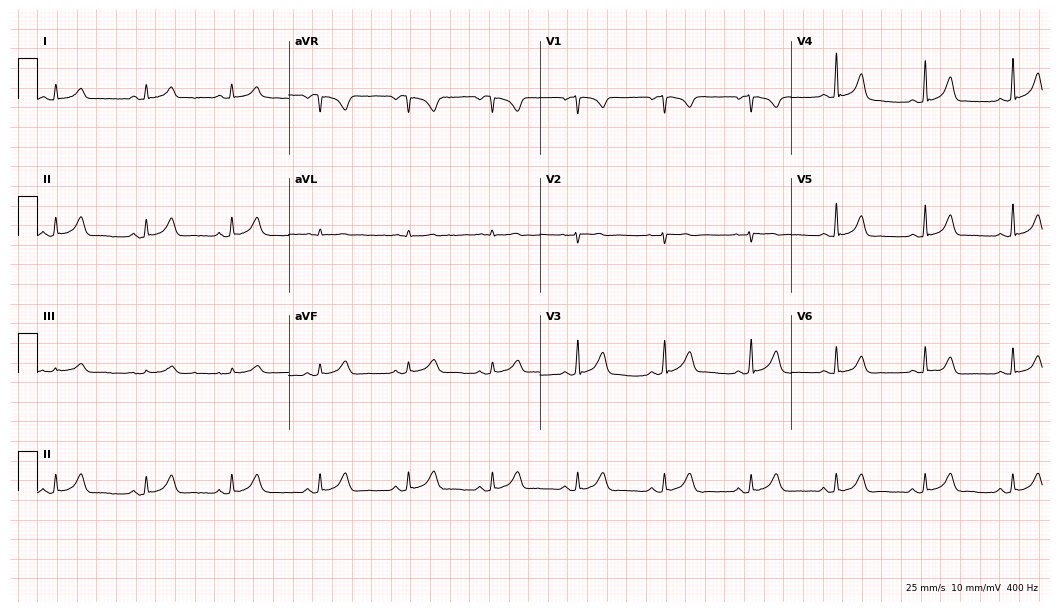
ECG (10.2-second recording at 400 Hz) — an 18-year-old female patient. Labelled as a normal ECG.